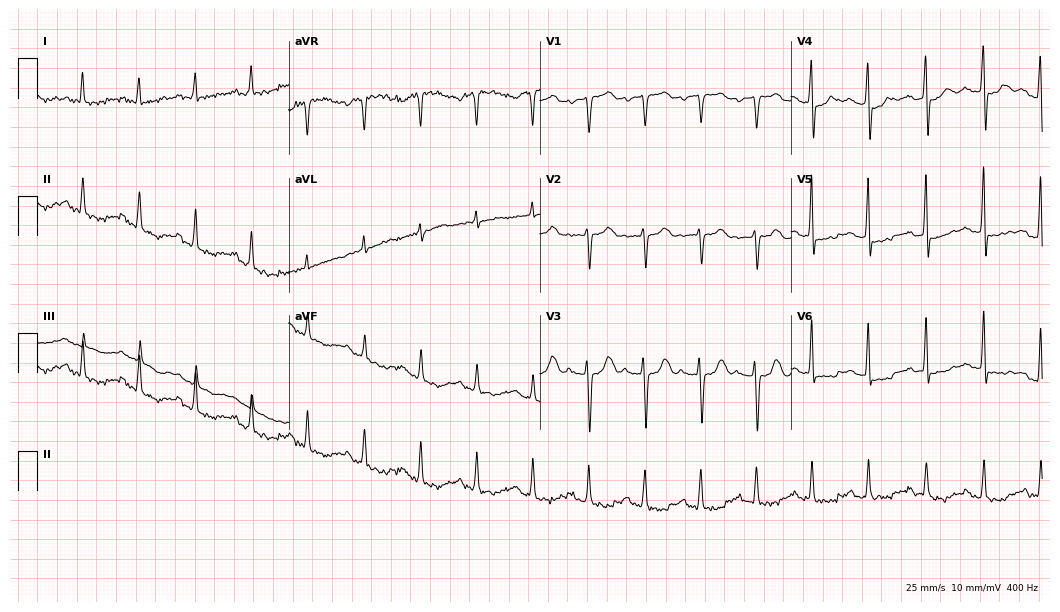
12-lead ECG from a female patient, 82 years old (10.2-second recording at 400 Hz). No first-degree AV block, right bundle branch block, left bundle branch block, sinus bradycardia, atrial fibrillation or sinus tachycardia recorded for this tracing.